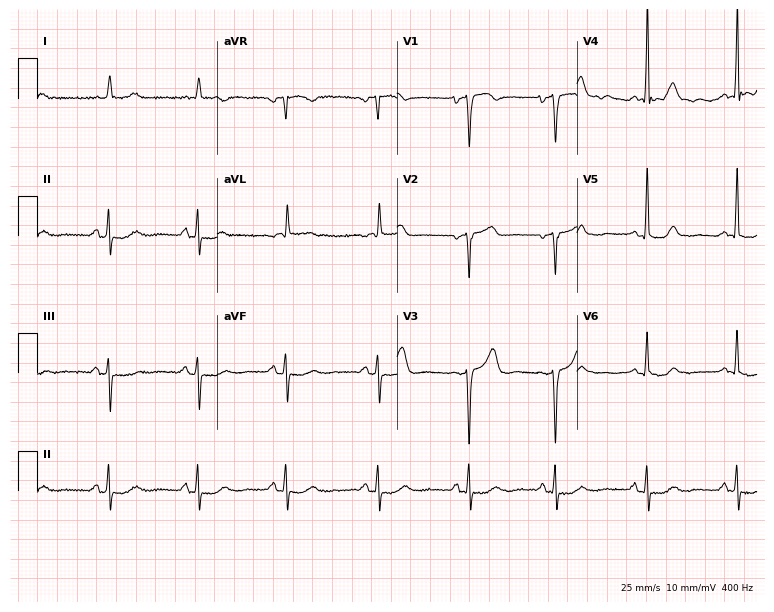
Electrocardiogram (7.3-second recording at 400 Hz), a female, 77 years old. Of the six screened findings (first-degree AV block, right bundle branch block, left bundle branch block, sinus bradycardia, atrial fibrillation, sinus tachycardia), none is recorded. Only these six findings were labelled.